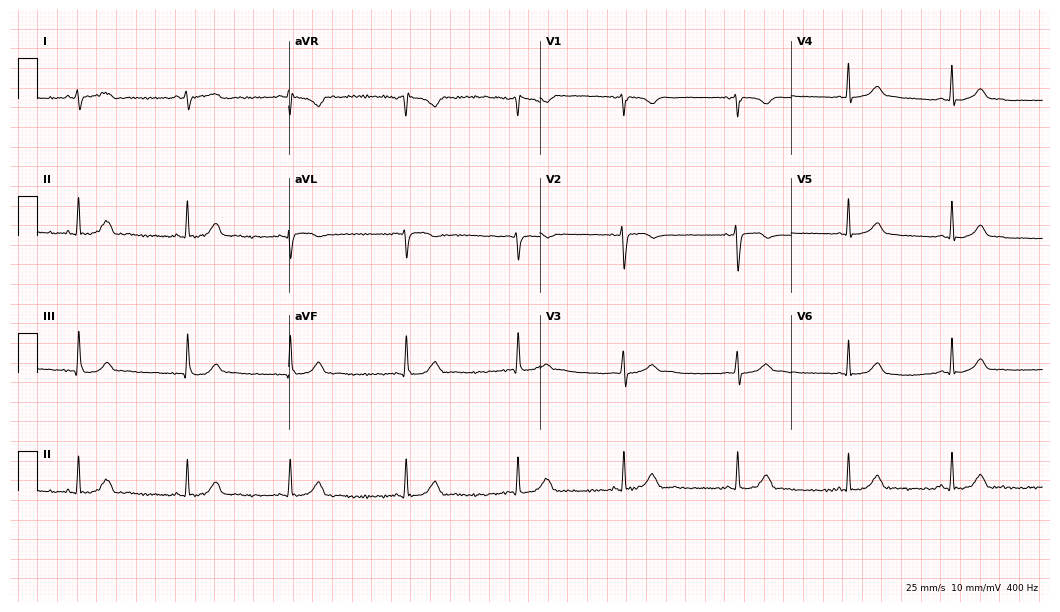
12-lead ECG from a female patient, 26 years old. No first-degree AV block, right bundle branch block (RBBB), left bundle branch block (LBBB), sinus bradycardia, atrial fibrillation (AF) or sinus tachycardia recorded for this tracing.